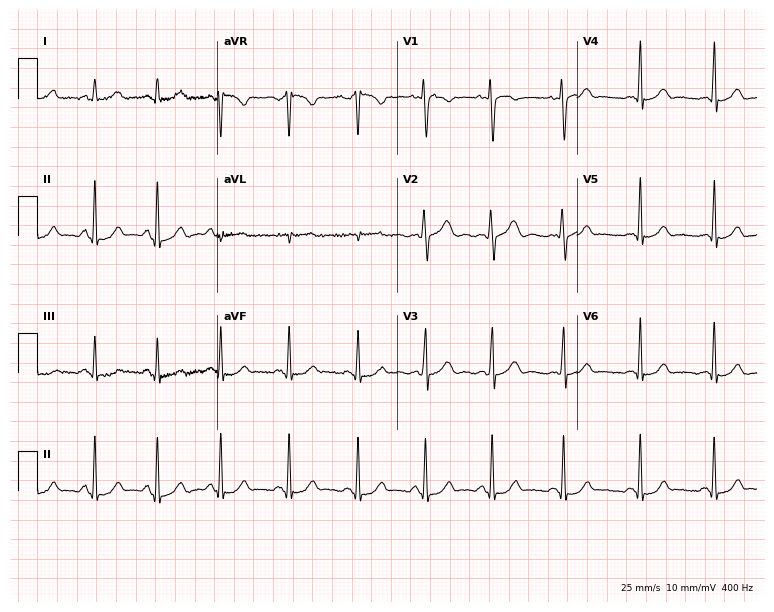
Electrocardiogram, a woman, 30 years old. Overall reading on record: normal ECG.